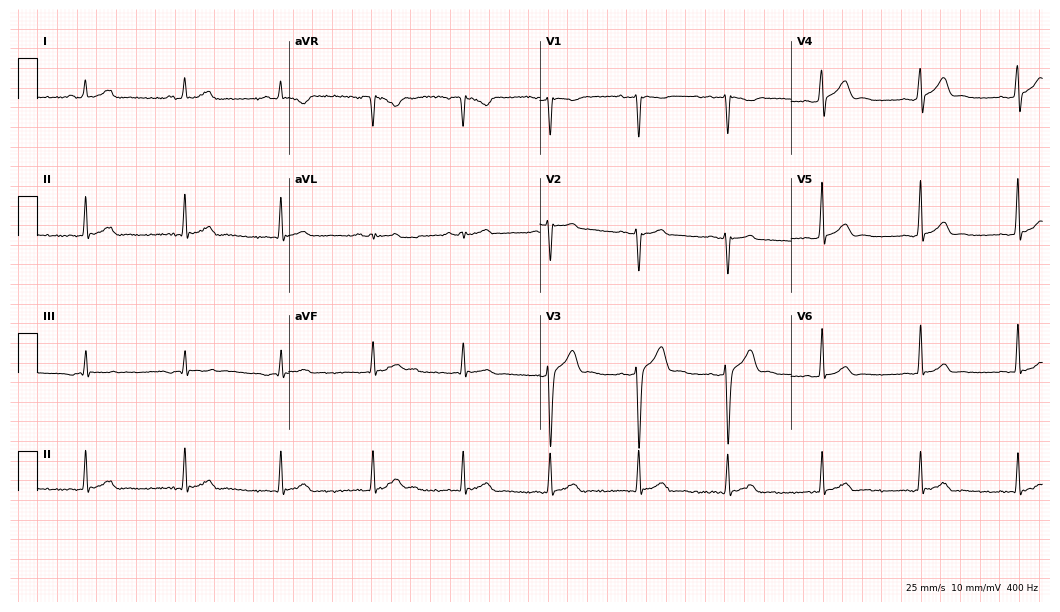
Electrocardiogram, a male patient, 25 years old. Overall reading on record: normal ECG.